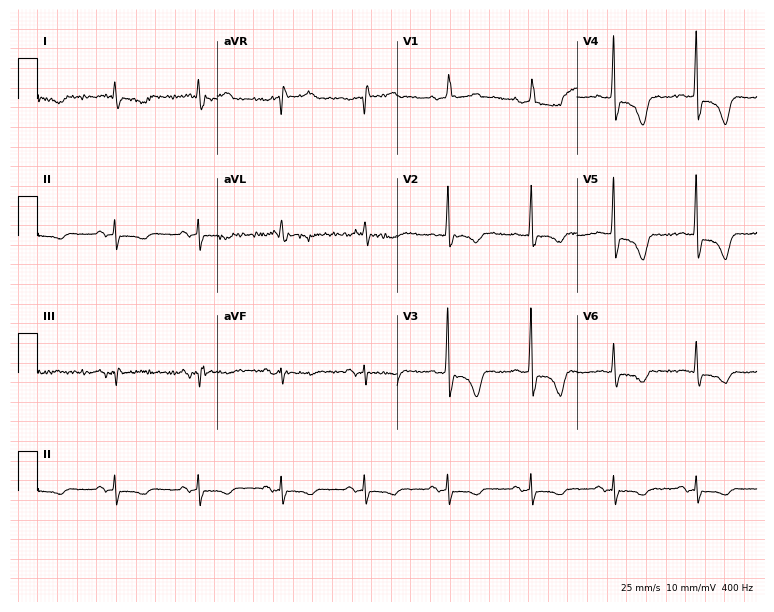
Electrocardiogram (7.3-second recording at 400 Hz), a male, 81 years old. Of the six screened findings (first-degree AV block, right bundle branch block, left bundle branch block, sinus bradycardia, atrial fibrillation, sinus tachycardia), none is recorded.